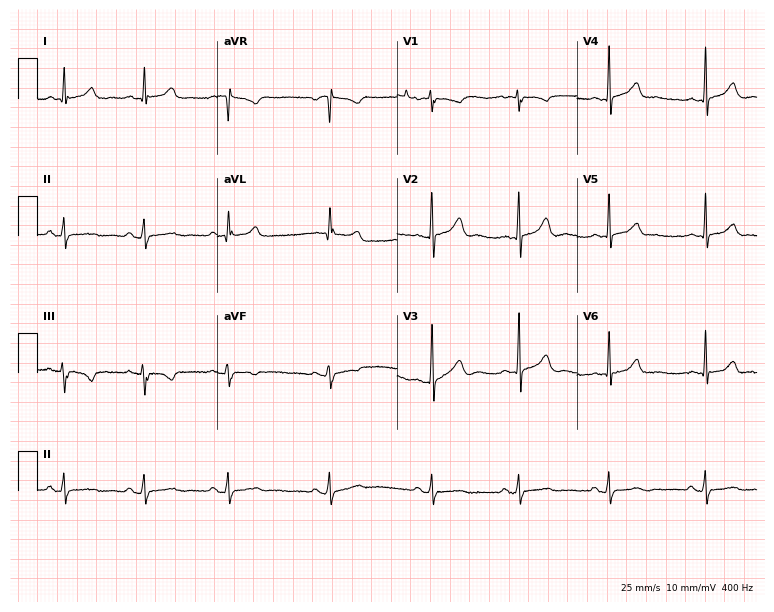
12-lead ECG from a 25-year-old woman. Recorded interpretation: within normal limits.